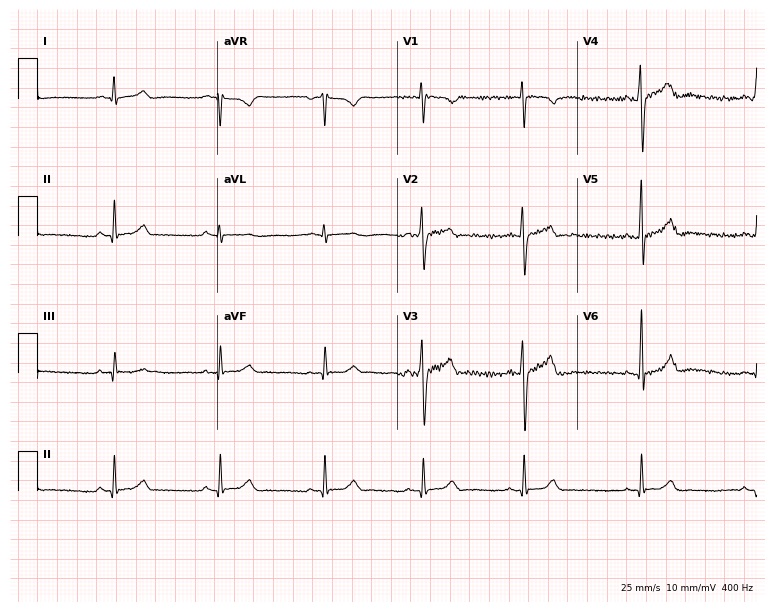
Resting 12-lead electrocardiogram (7.3-second recording at 400 Hz). Patient: a male, 31 years old. None of these six findings is recorded: first-degree AV block, right bundle branch block, left bundle branch block, sinus bradycardia, atrial fibrillation, sinus tachycardia.